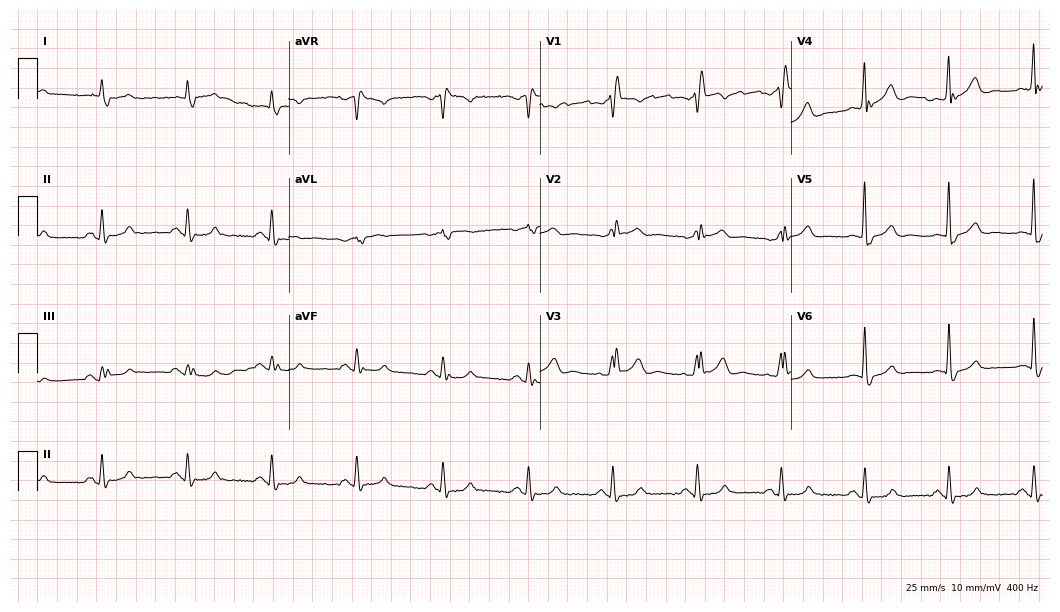
Resting 12-lead electrocardiogram (10.2-second recording at 400 Hz). Patient: an 81-year-old male. None of these six findings is recorded: first-degree AV block, right bundle branch block, left bundle branch block, sinus bradycardia, atrial fibrillation, sinus tachycardia. Only these six findings were labelled.